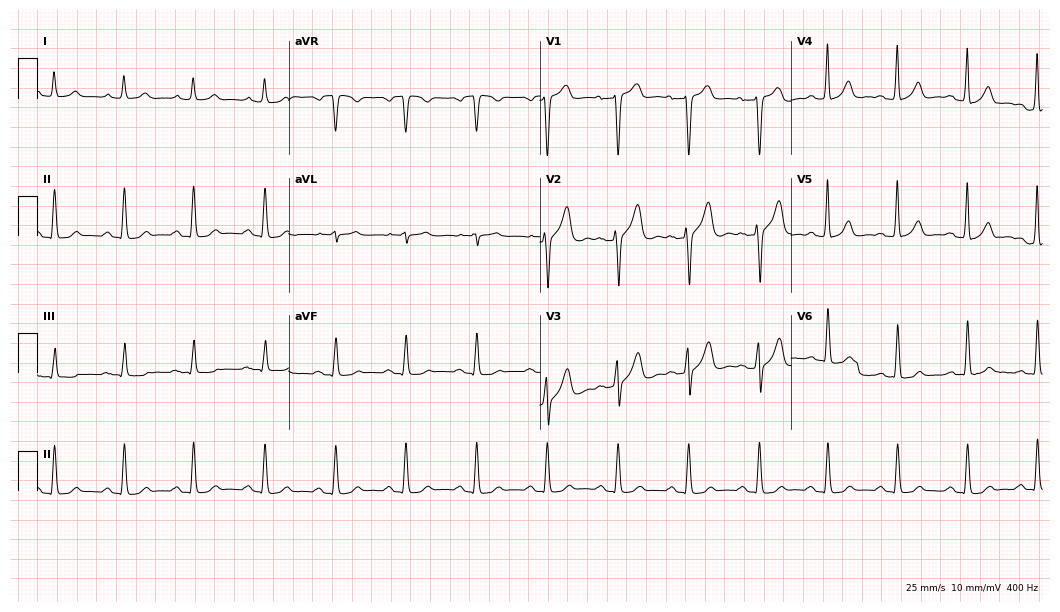
12-lead ECG (10.2-second recording at 400 Hz) from a man, 72 years old. Labelled as a normal ECG.